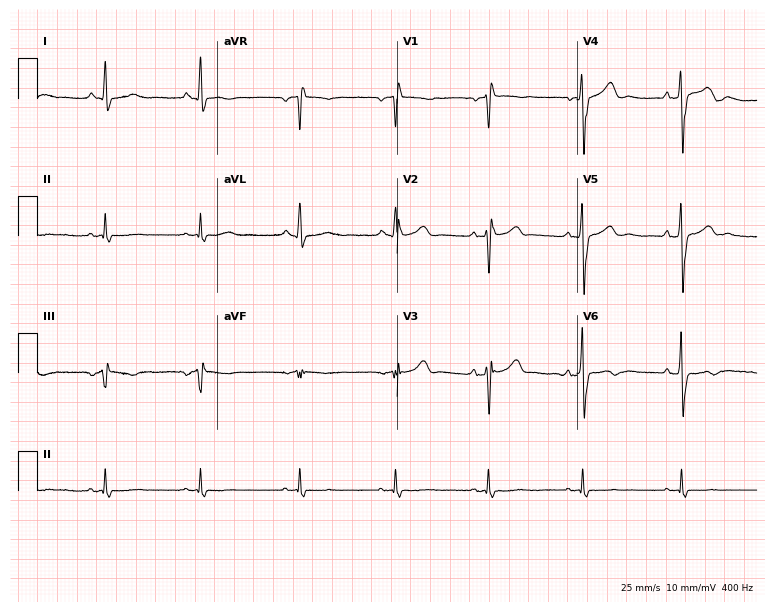
Standard 12-lead ECG recorded from a man, 48 years old (7.3-second recording at 400 Hz). None of these six findings is recorded: first-degree AV block, right bundle branch block, left bundle branch block, sinus bradycardia, atrial fibrillation, sinus tachycardia.